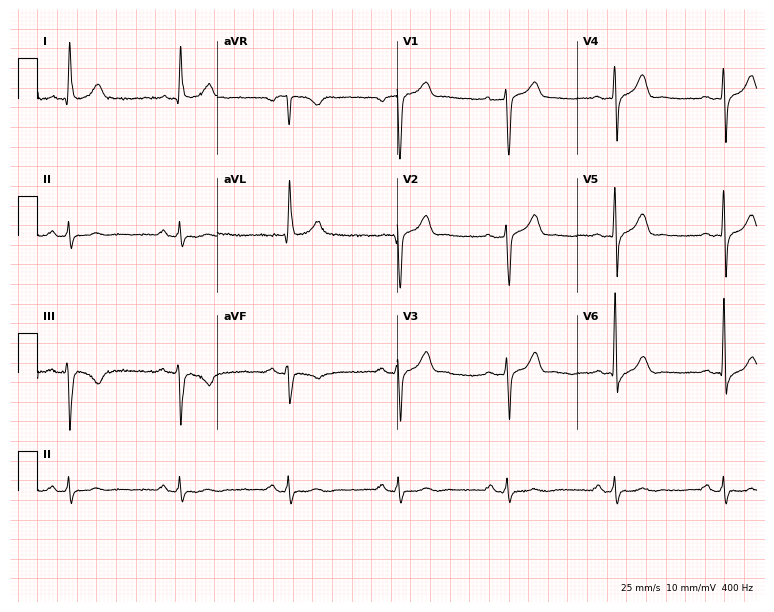
Resting 12-lead electrocardiogram (7.3-second recording at 400 Hz). Patient: a 66-year-old male. None of these six findings is recorded: first-degree AV block, right bundle branch block, left bundle branch block, sinus bradycardia, atrial fibrillation, sinus tachycardia. Only these six findings were labelled.